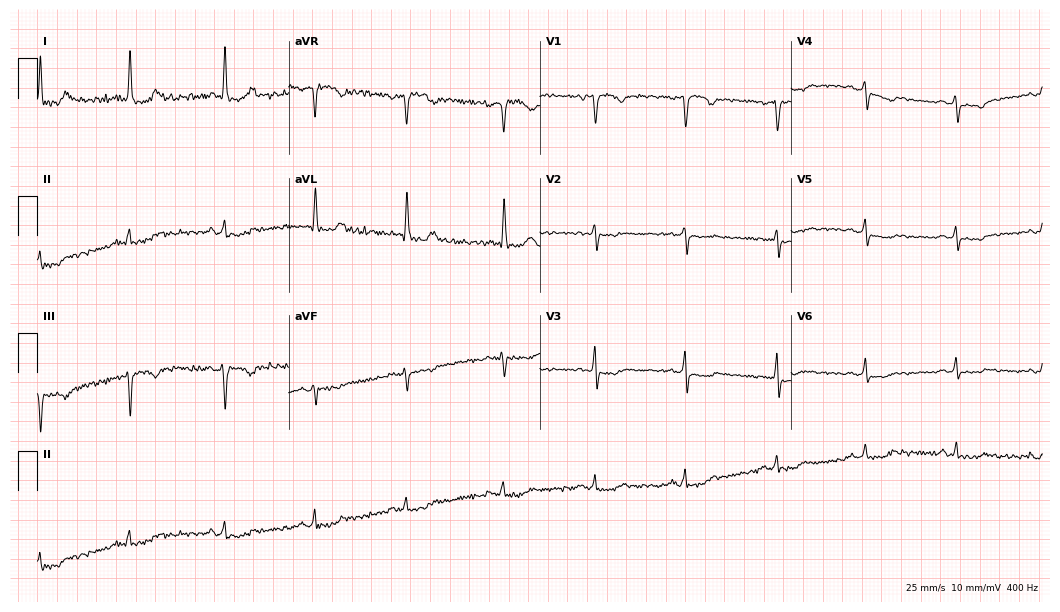
12-lead ECG (10.2-second recording at 400 Hz) from a 55-year-old female patient. Screened for six findings — first-degree AV block, right bundle branch block, left bundle branch block, sinus bradycardia, atrial fibrillation, sinus tachycardia — none is recorded. Findings outside these six are not listed.